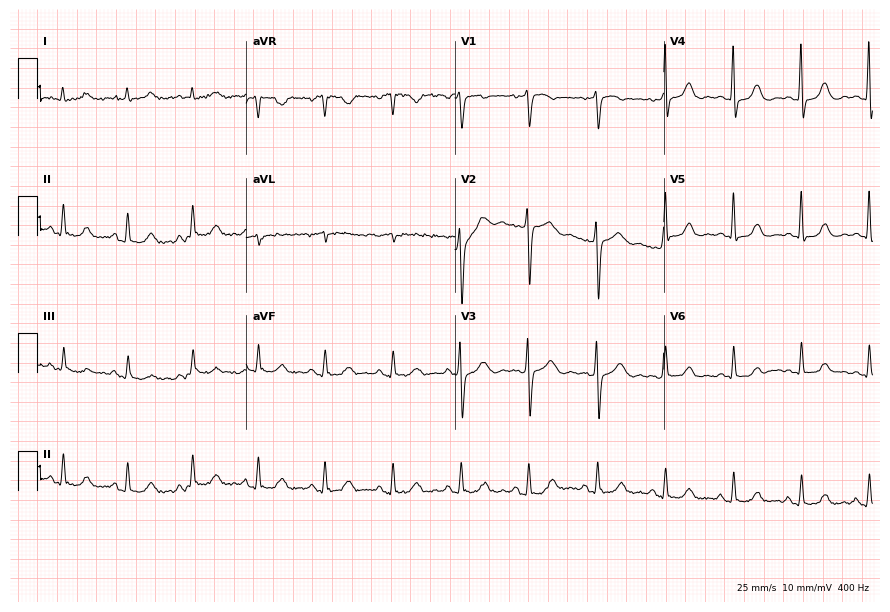
12-lead ECG from a female patient, 58 years old. No first-degree AV block, right bundle branch block, left bundle branch block, sinus bradycardia, atrial fibrillation or sinus tachycardia recorded for this tracing. Findings outside these six are not listed.